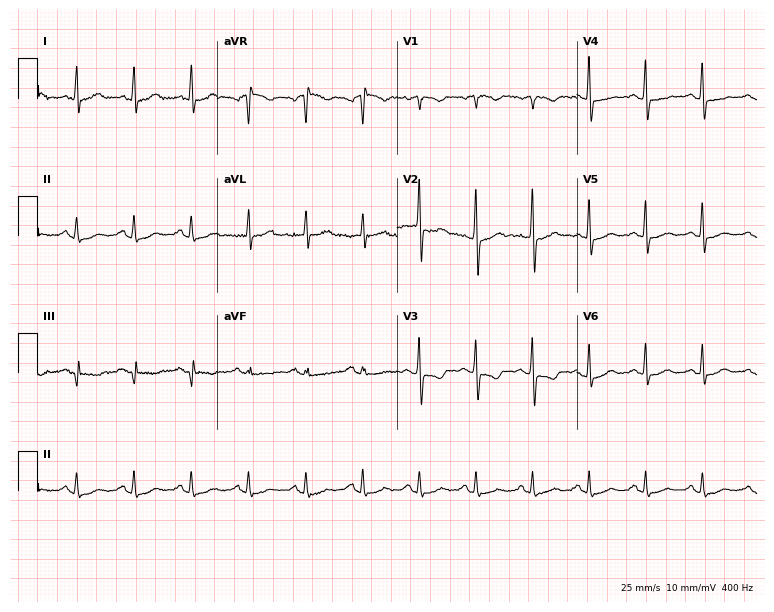
12-lead ECG from a 45-year-old woman (7.3-second recording at 400 Hz). No first-degree AV block, right bundle branch block (RBBB), left bundle branch block (LBBB), sinus bradycardia, atrial fibrillation (AF) or sinus tachycardia recorded for this tracing.